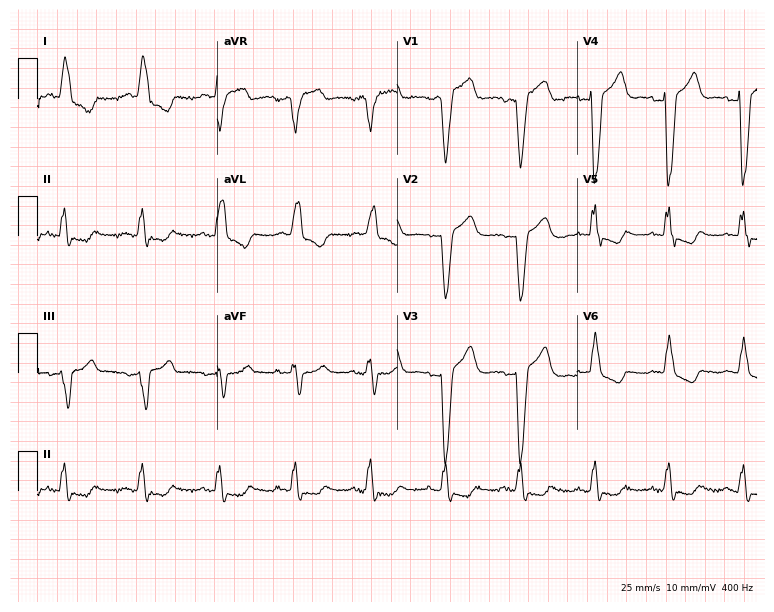
Electrocardiogram (7.3-second recording at 400 Hz), a female patient, 79 years old. Interpretation includes left bundle branch block.